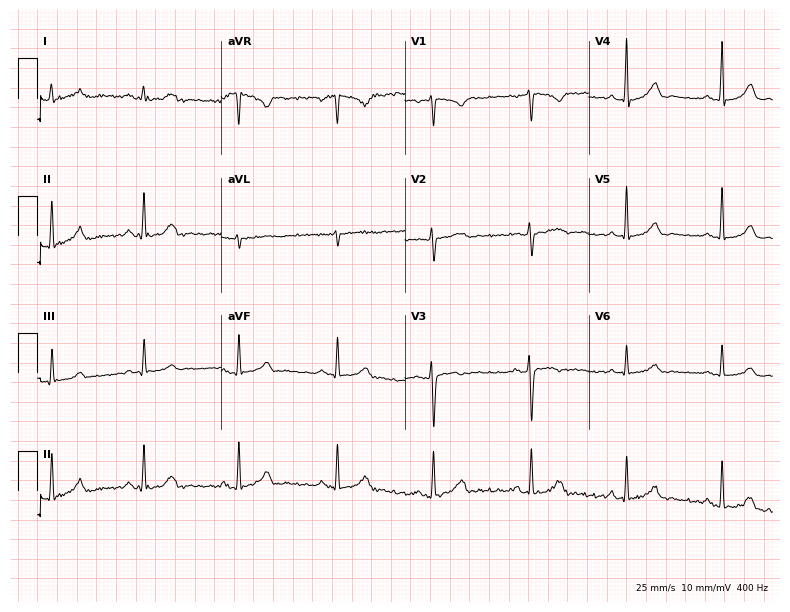
12-lead ECG (7.5-second recording at 400 Hz) from a 32-year-old female. Screened for six findings — first-degree AV block, right bundle branch block, left bundle branch block, sinus bradycardia, atrial fibrillation, sinus tachycardia — none is recorded.